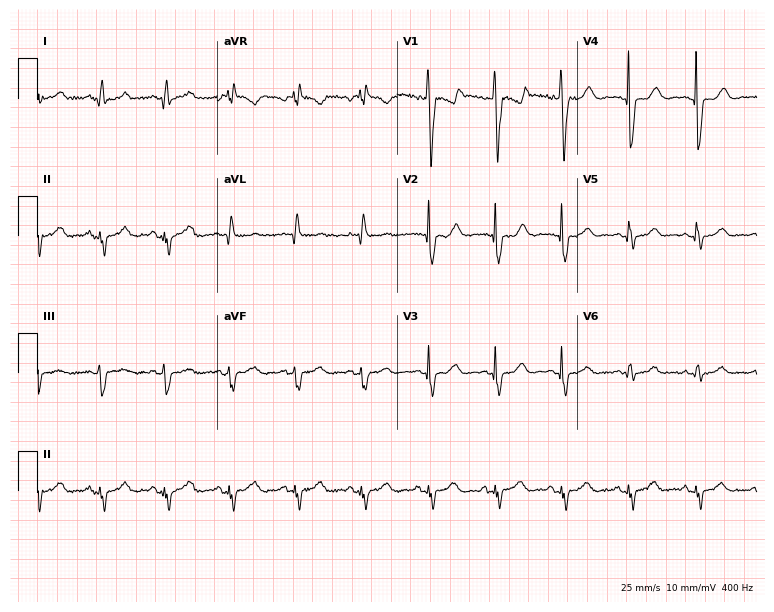
ECG (7.3-second recording at 400 Hz) — a 34-year-old female patient. Screened for six findings — first-degree AV block, right bundle branch block, left bundle branch block, sinus bradycardia, atrial fibrillation, sinus tachycardia — none is recorded. Findings outside these six are not listed.